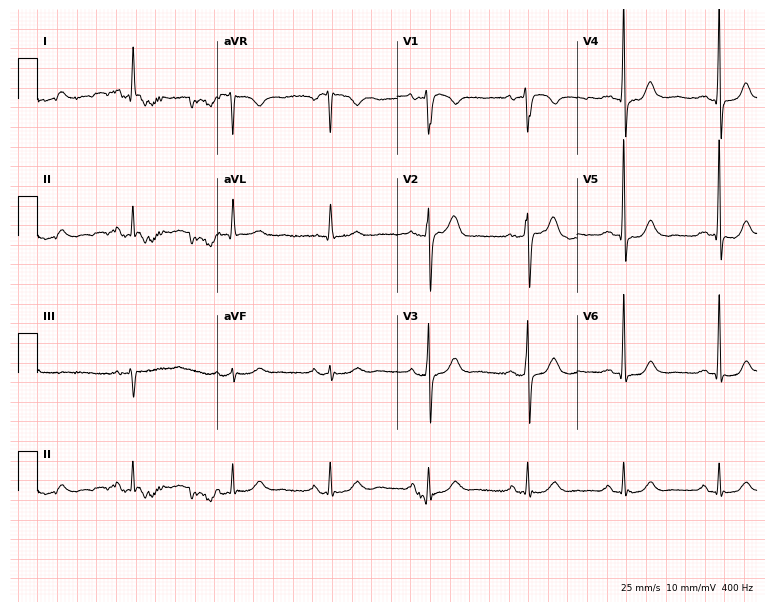
12-lead ECG from an 85-year-old male (7.3-second recording at 400 Hz). No first-degree AV block, right bundle branch block (RBBB), left bundle branch block (LBBB), sinus bradycardia, atrial fibrillation (AF) or sinus tachycardia recorded for this tracing. Findings outside these six are not listed.